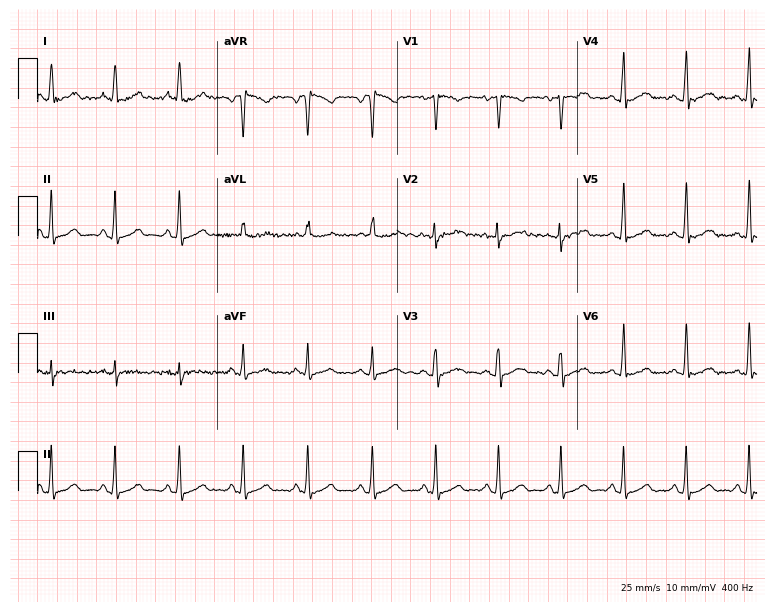
Resting 12-lead electrocardiogram (7.3-second recording at 400 Hz). Patient: a female, 19 years old. Read as a normal ECG.